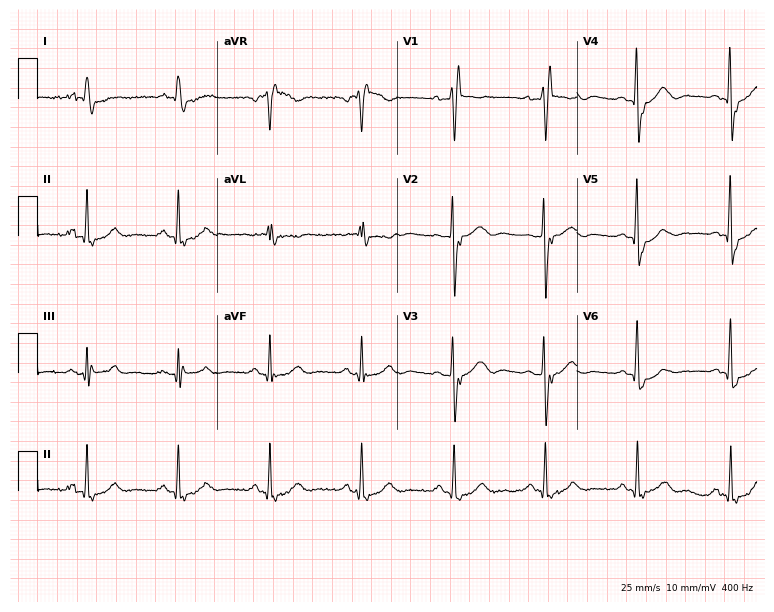
12-lead ECG from a female patient, 76 years old. Shows right bundle branch block (RBBB).